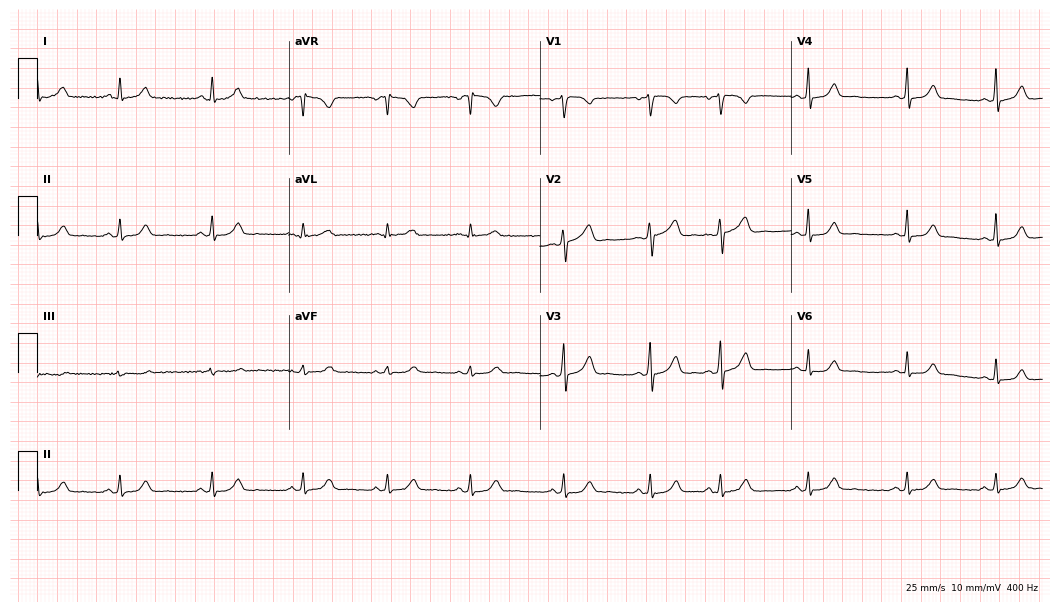
Standard 12-lead ECG recorded from a 37-year-old female. Read as a normal ECG.